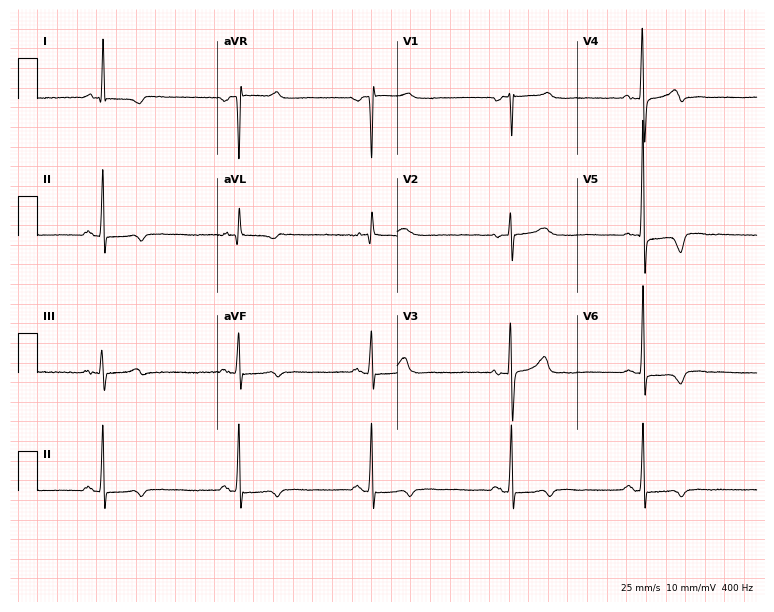
Standard 12-lead ECG recorded from a 73-year-old woman. The tracing shows sinus bradycardia (a sinus rate of 50 beats per minute or less).